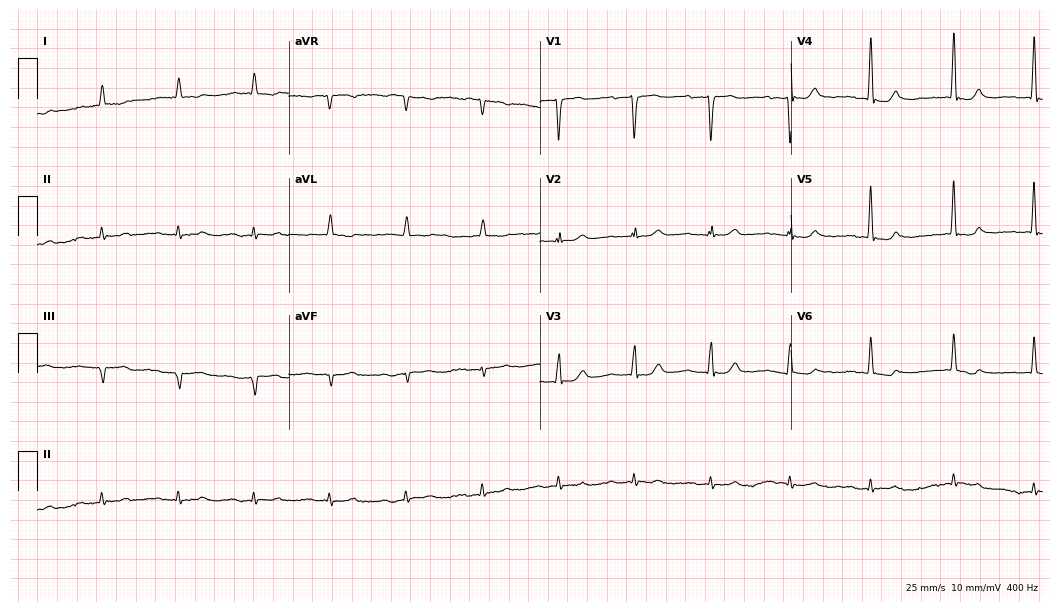
12-lead ECG from a male, 82 years old. Shows first-degree AV block.